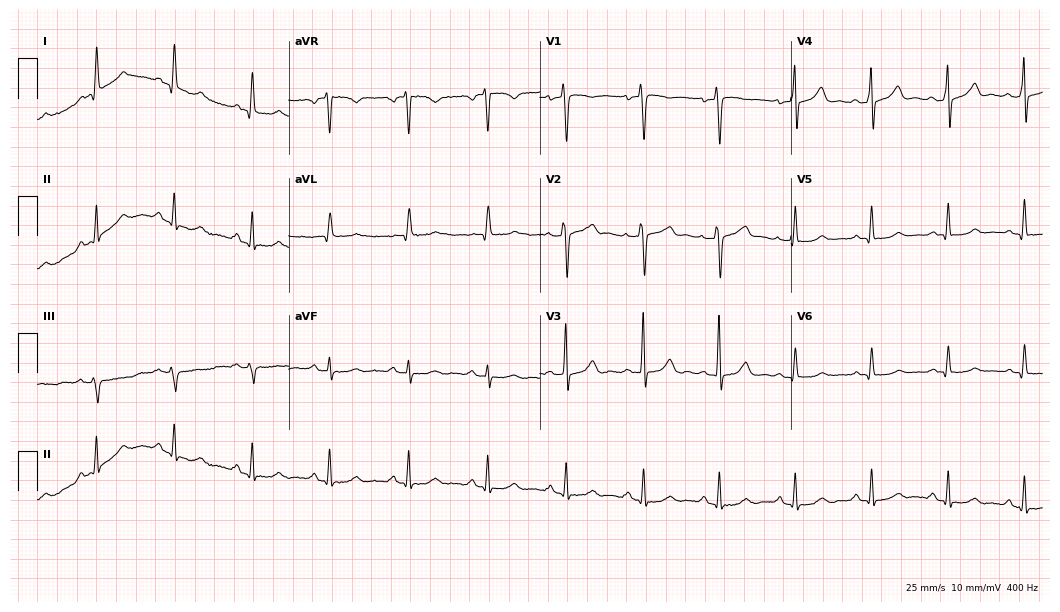
Resting 12-lead electrocardiogram. Patient: a male, 52 years old. None of these six findings is recorded: first-degree AV block, right bundle branch block, left bundle branch block, sinus bradycardia, atrial fibrillation, sinus tachycardia. Findings outside these six are not listed.